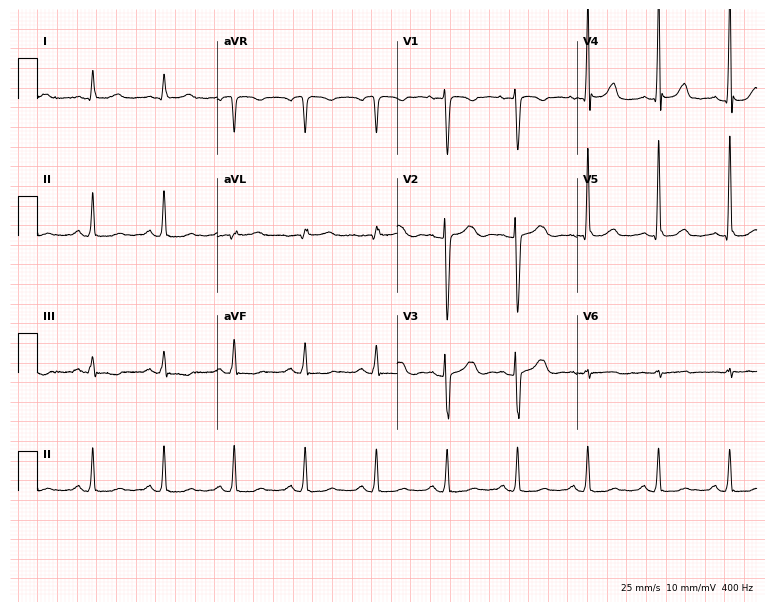
Standard 12-lead ECG recorded from a 60-year-old female patient (7.3-second recording at 400 Hz). Read as a normal ECG.